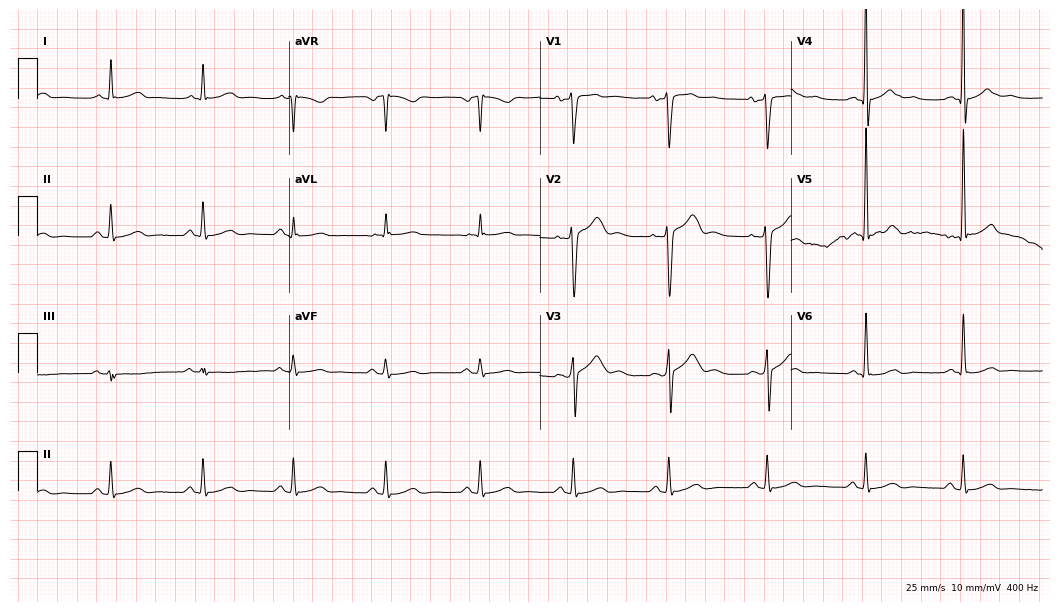
Standard 12-lead ECG recorded from a 48-year-old man. Read as a normal ECG.